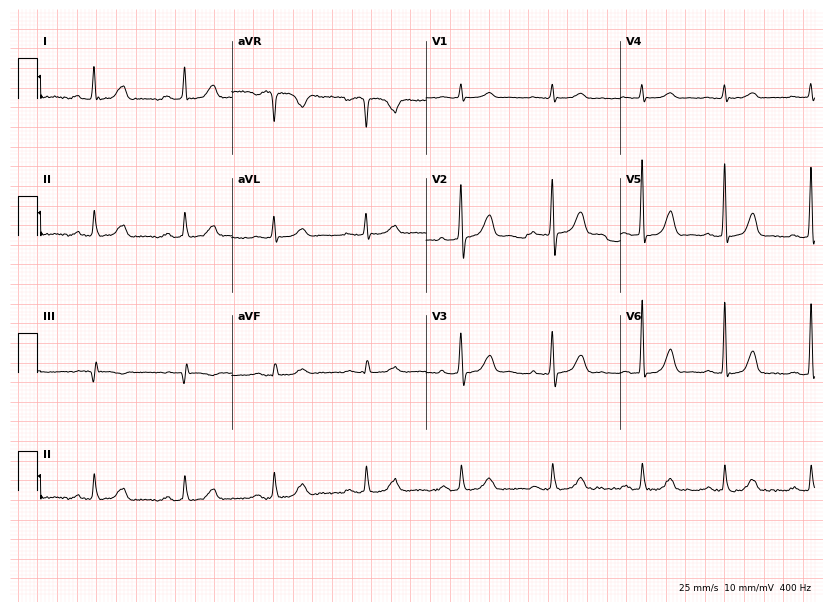
ECG (7.9-second recording at 400 Hz) — a male patient, 37 years old. Labelled as a normal ECG.